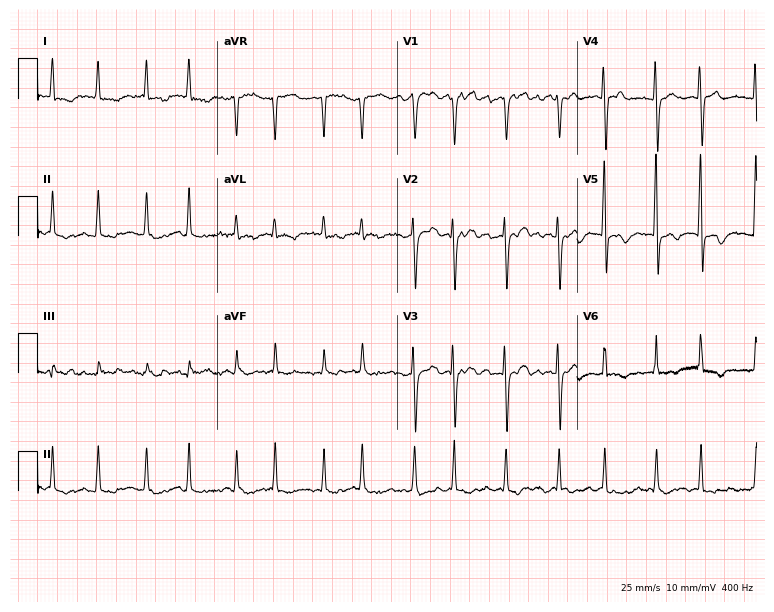
Electrocardiogram, an 84-year-old woman. Interpretation includes atrial fibrillation.